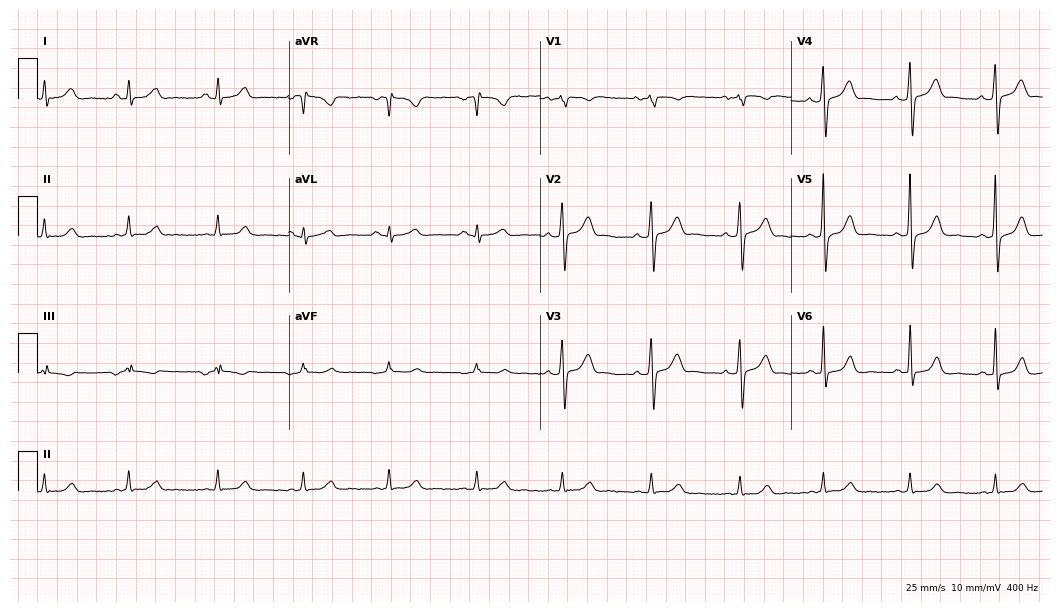
Standard 12-lead ECG recorded from a 41-year-old man. Read as a normal ECG.